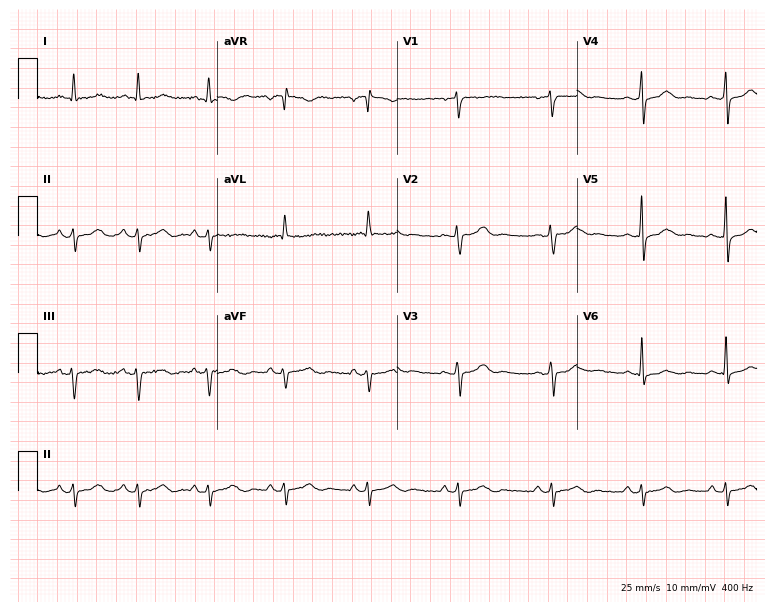
Standard 12-lead ECG recorded from a female, 40 years old. None of these six findings is recorded: first-degree AV block, right bundle branch block (RBBB), left bundle branch block (LBBB), sinus bradycardia, atrial fibrillation (AF), sinus tachycardia. Only these six findings were labelled.